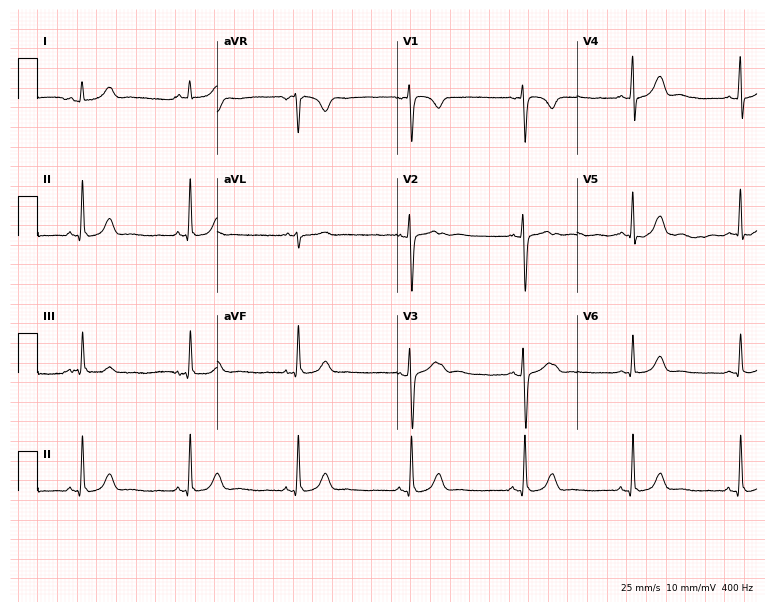
ECG — a 38-year-old female. Labelled as a normal ECG.